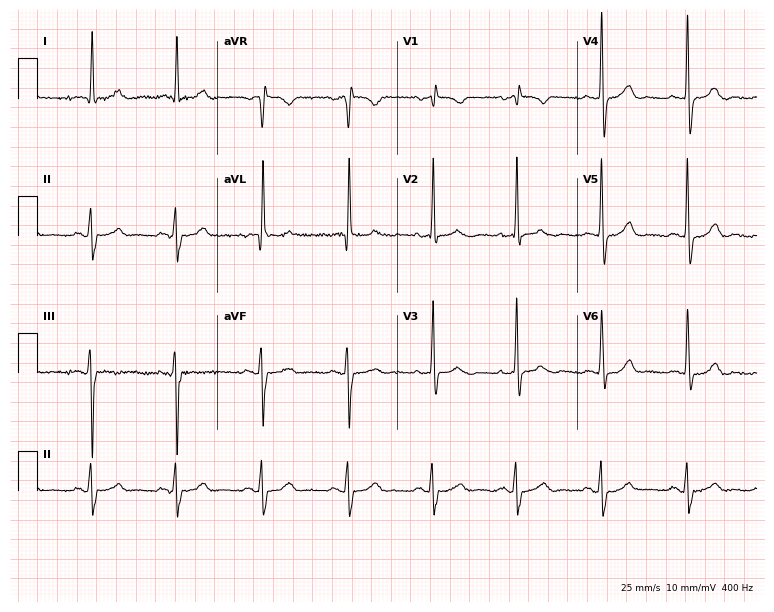
12-lead ECG from a male, 74 years old. Screened for six findings — first-degree AV block, right bundle branch block (RBBB), left bundle branch block (LBBB), sinus bradycardia, atrial fibrillation (AF), sinus tachycardia — none is recorded. Other findings, if any, are not listed.